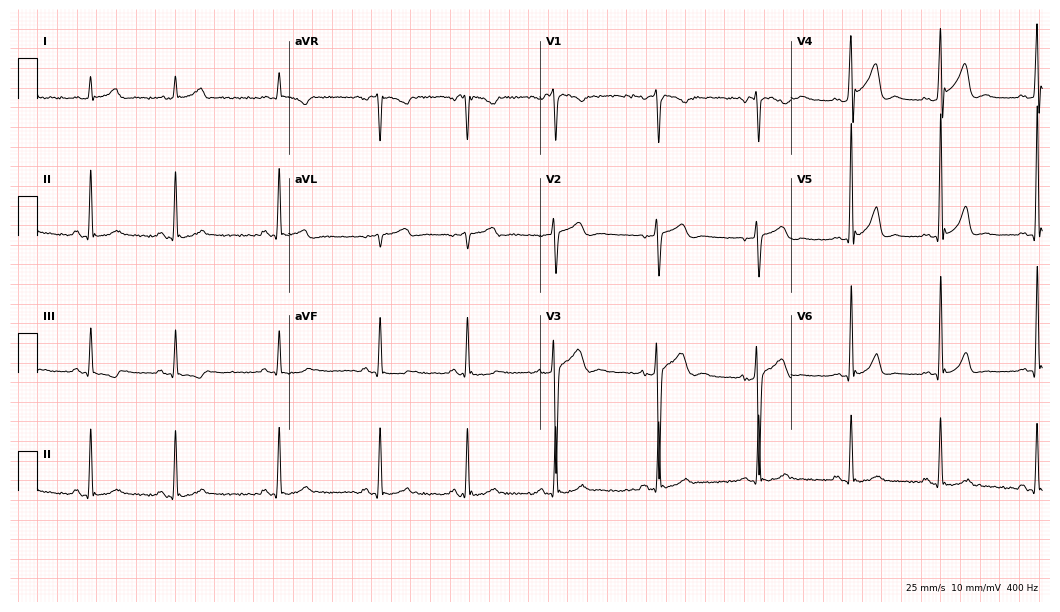
Resting 12-lead electrocardiogram. Patient: a 26-year-old man. None of these six findings is recorded: first-degree AV block, right bundle branch block, left bundle branch block, sinus bradycardia, atrial fibrillation, sinus tachycardia.